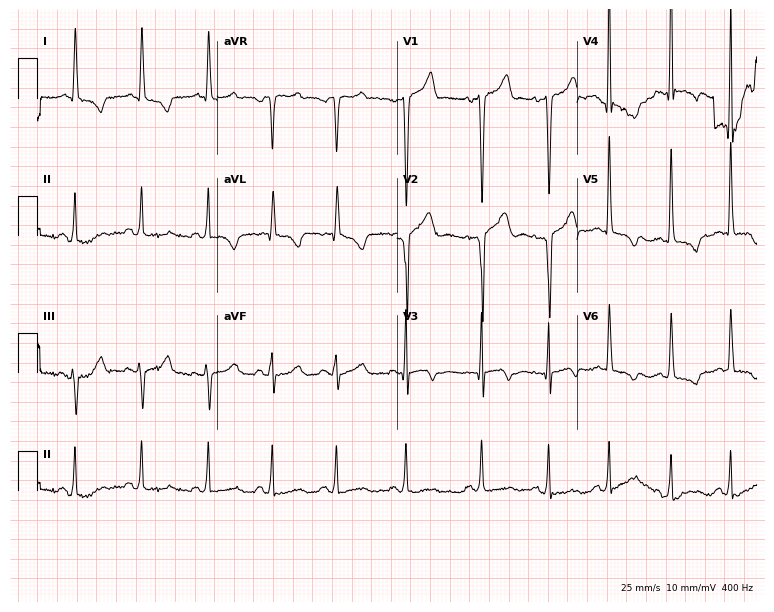
Electrocardiogram, a 45-year-old male. Of the six screened findings (first-degree AV block, right bundle branch block (RBBB), left bundle branch block (LBBB), sinus bradycardia, atrial fibrillation (AF), sinus tachycardia), none is recorded.